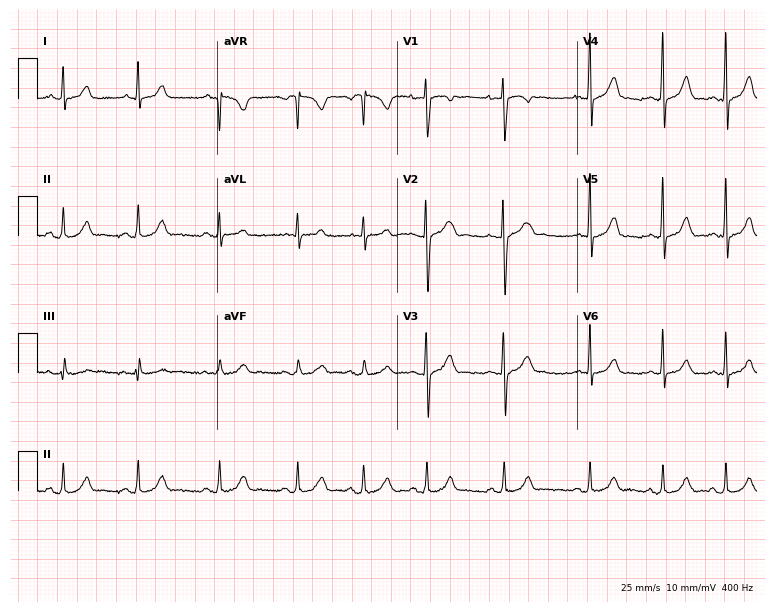
12-lead ECG from a woman, 17 years old. Screened for six findings — first-degree AV block, right bundle branch block, left bundle branch block, sinus bradycardia, atrial fibrillation, sinus tachycardia — none is recorded.